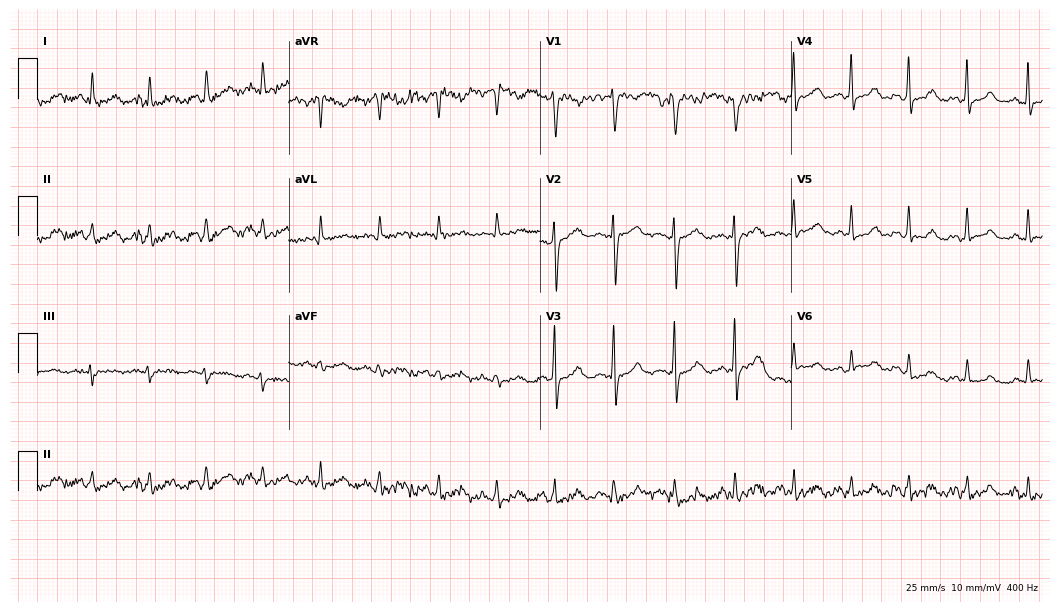
12-lead ECG from a 27-year-old female patient (10.2-second recording at 400 Hz). No first-degree AV block, right bundle branch block (RBBB), left bundle branch block (LBBB), sinus bradycardia, atrial fibrillation (AF) or sinus tachycardia recorded for this tracing.